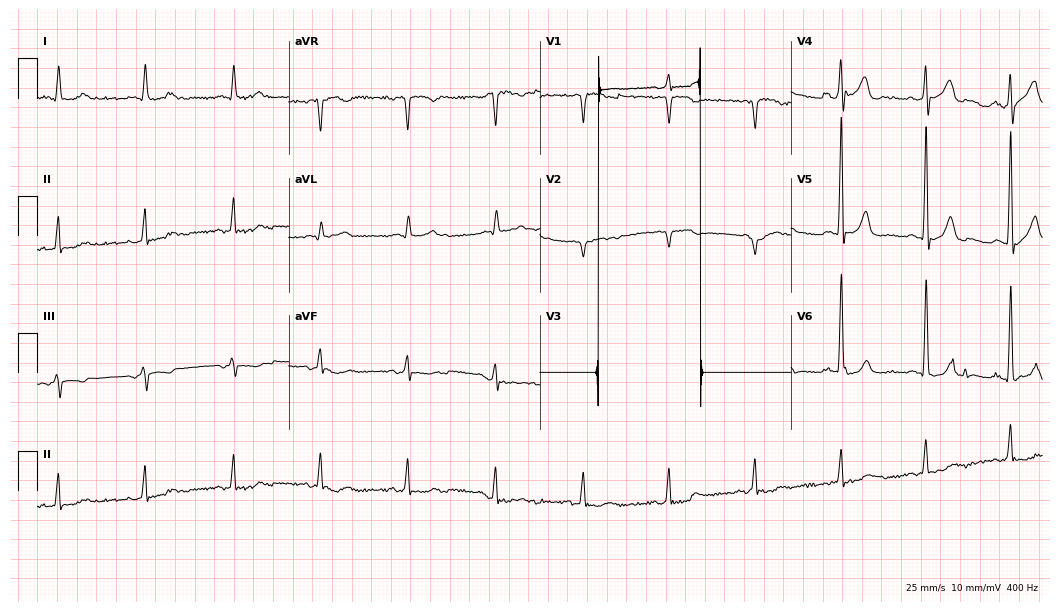
12-lead ECG (10.2-second recording at 400 Hz) from a man, 82 years old. Screened for six findings — first-degree AV block, right bundle branch block, left bundle branch block, sinus bradycardia, atrial fibrillation, sinus tachycardia — none is recorded.